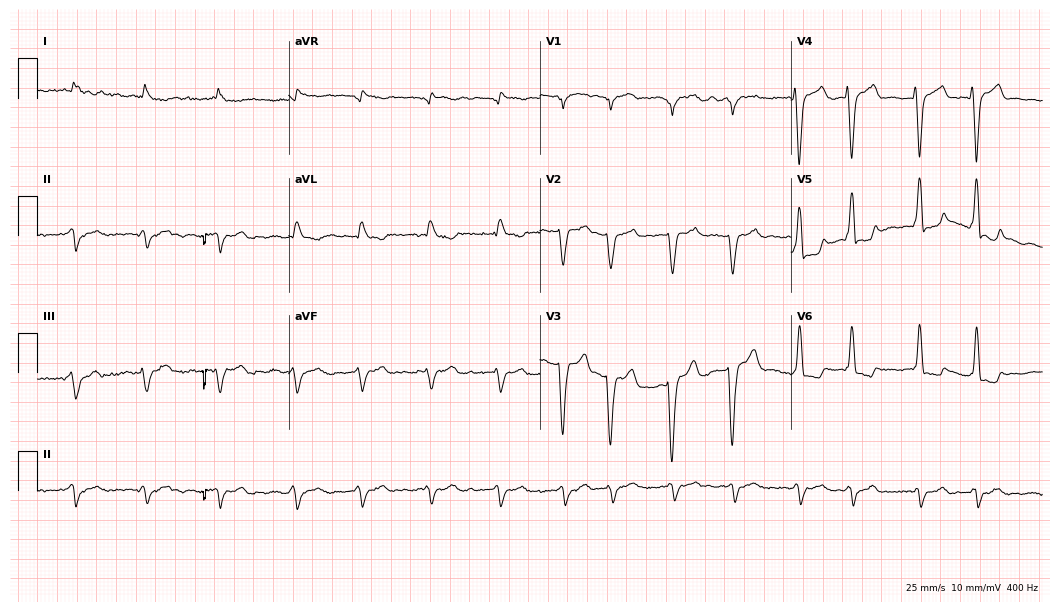
Electrocardiogram (10.2-second recording at 400 Hz), a male, 73 years old. Interpretation includes left bundle branch block, atrial fibrillation.